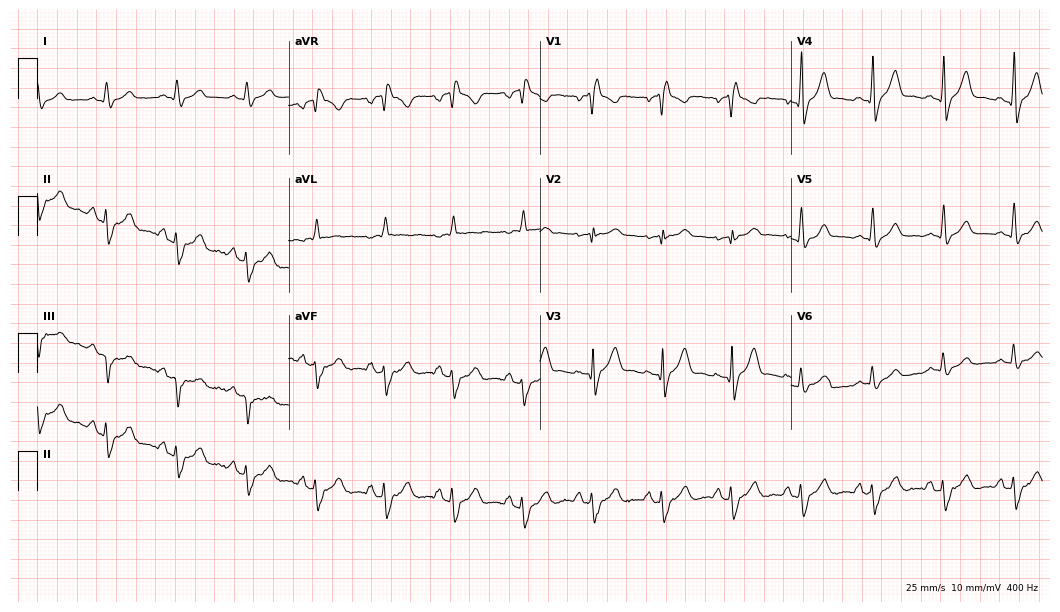
ECG (10.2-second recording at 400 Hz) — a male patient, 75 years old. Findings include right bundle branch block.